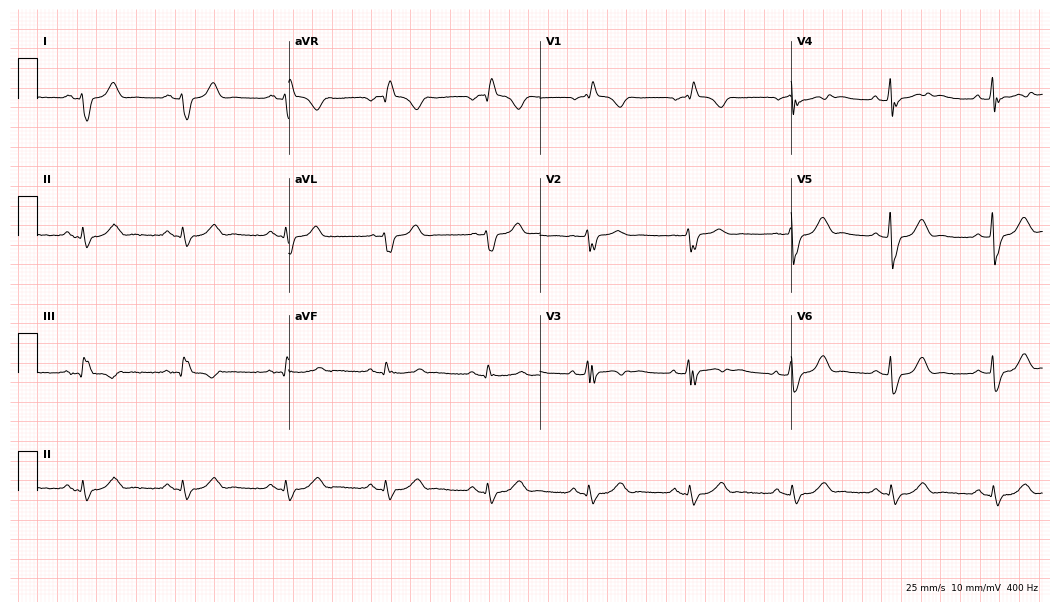
Standard 12-lead ECG recorded from a female, 65 years old (10.2-second recording at 400 Hz). The tracing shows right bundle branch block.